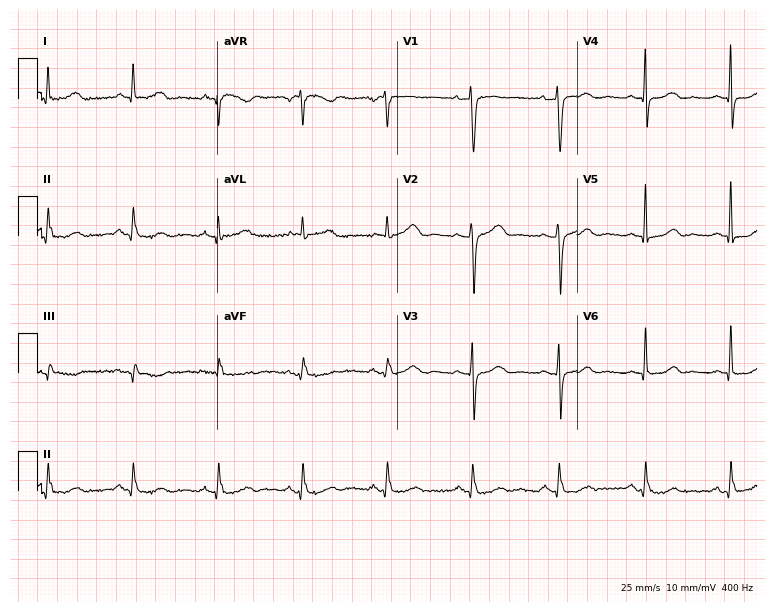
12-lead ECG (7.3-second recording at 400 Hz) from a female, 63 years old. Labelled as a normal ECG.